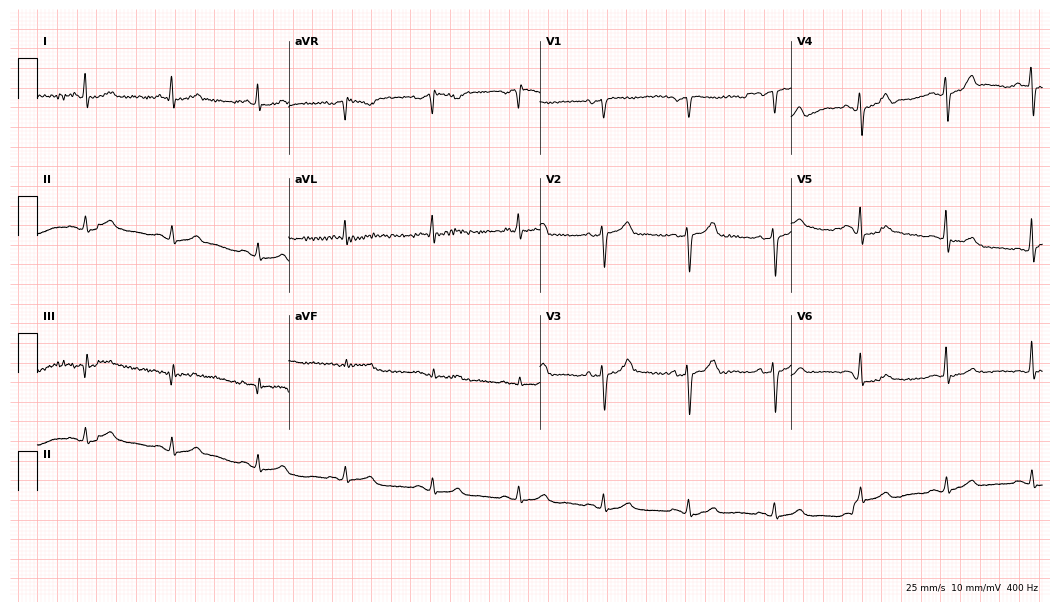
Standard 12-lead ECG recorded from a man, 65 years old. Read as a normal ECG.